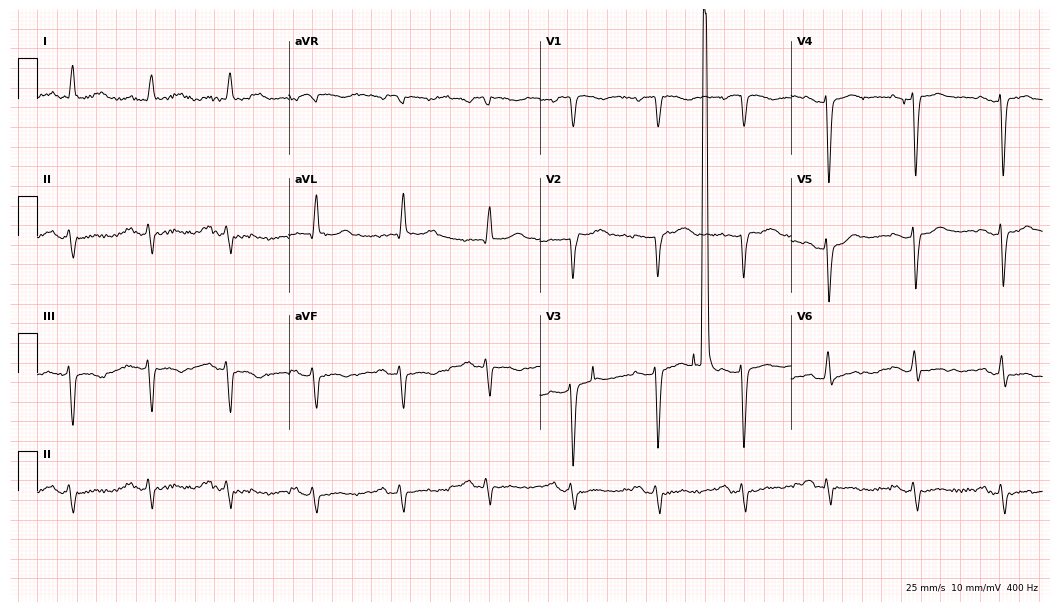
Resting 12-lead electrocardiogram. Patient: a 79-year-old female. Read as a normal ECG.